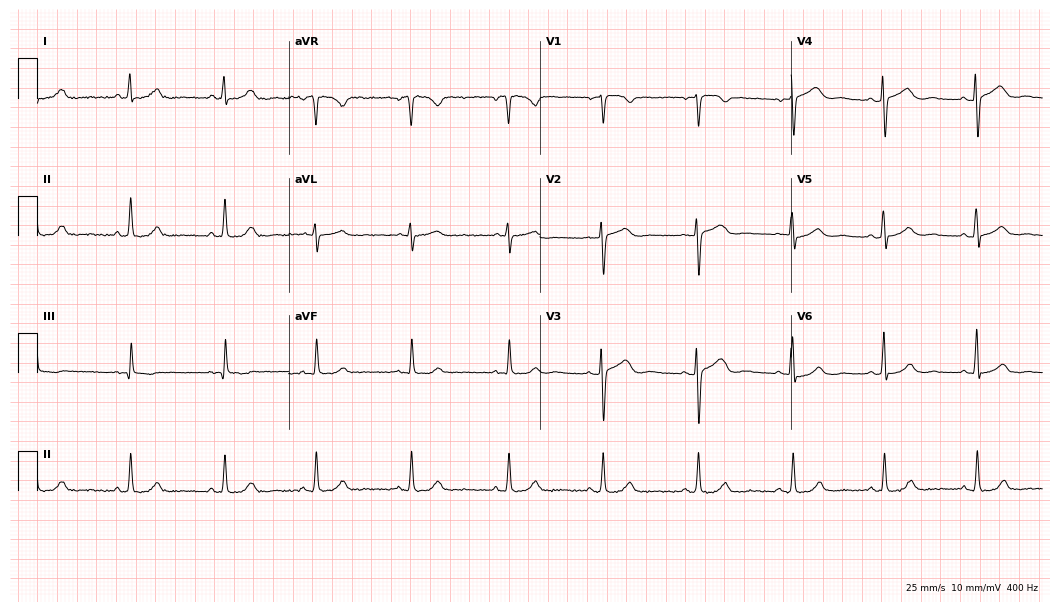
12-lead ECG from a woman, 53 years old. Labelled as a normal ECG.